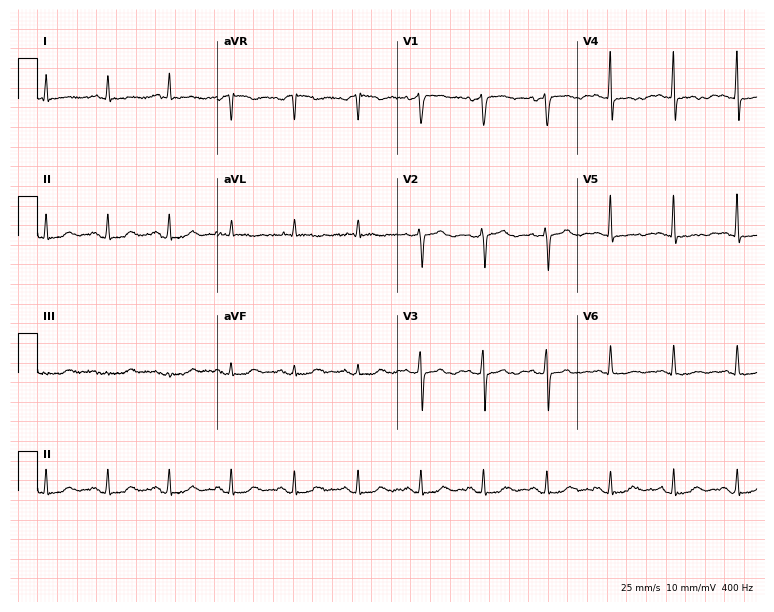
Electrocardiogram (7.3-second recording at 400 Hz), a 67-year-old female patient. Of the six screened findings (first-degree AV block, right bundle branch block, left bundle branch block, sinus bradycardia, atrial fibrillation, sinus tachycardia), none is recorded.